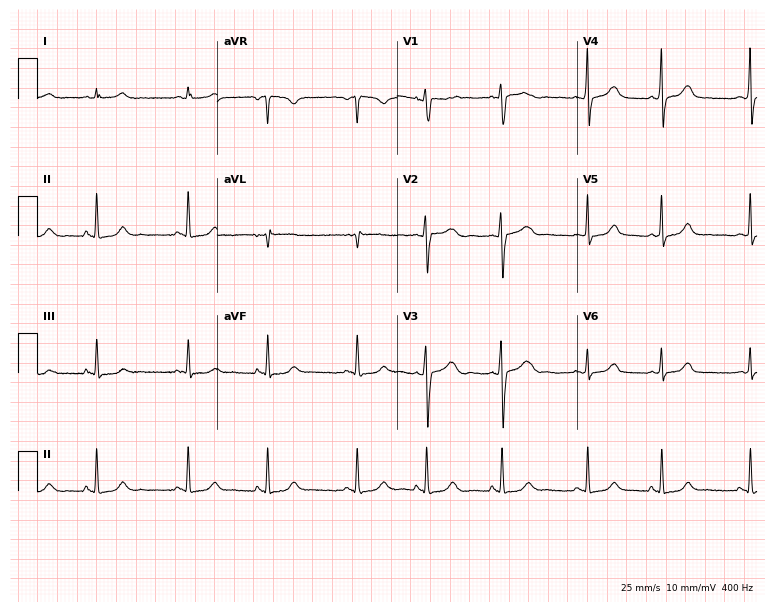
12-lead ECG from a 26-year-old female (7.3-second recording at 400 Hz). Recorded interpretation: within normal limits.